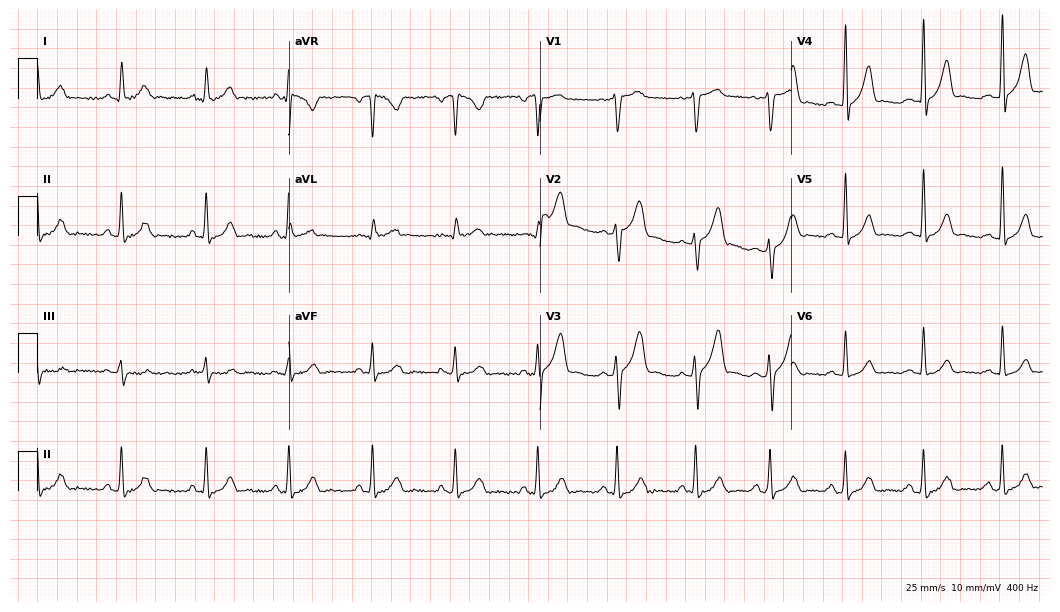
12-lead ECG from a 47-year-old male. Recorded interpretation: within normal limits.